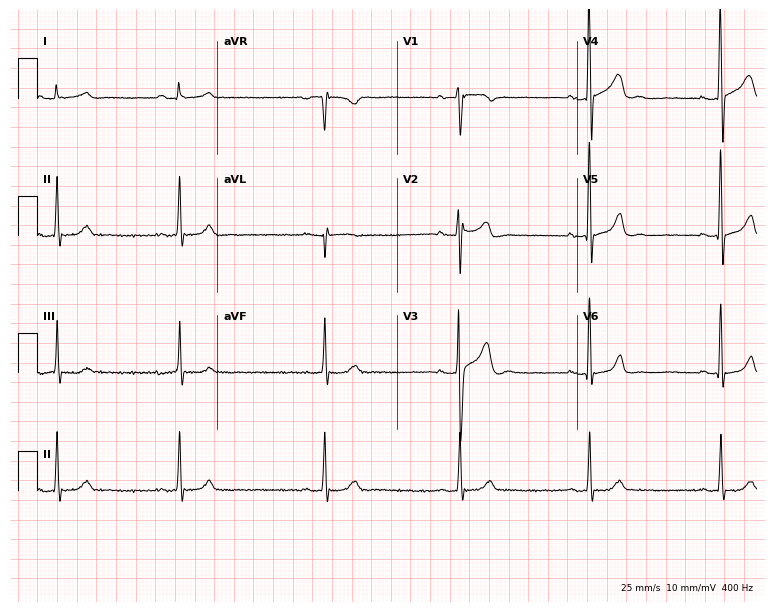
12-lead ECG from a 23-year-old male. Screened for six findings — first-degree AV block, right bundle branch block, left bundle branch block, sinus bradycardia, atrial fibrillation, sinus tachycardia — none is recorded. Other findings, if any, are not listed.